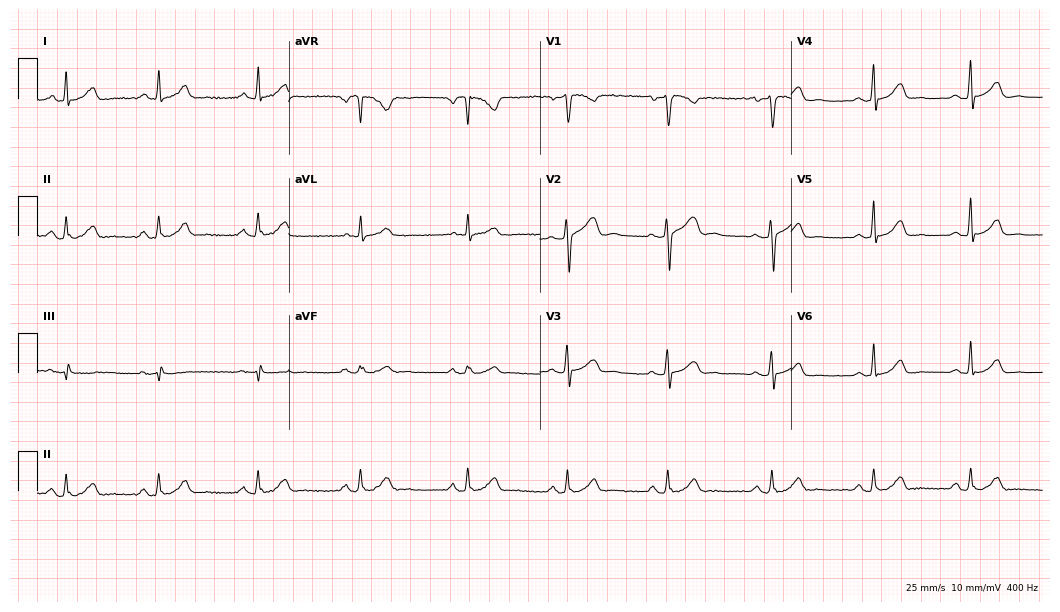
12-lead ECG from a female patient, 37 years old. Recorded interpretation: within normal limits.